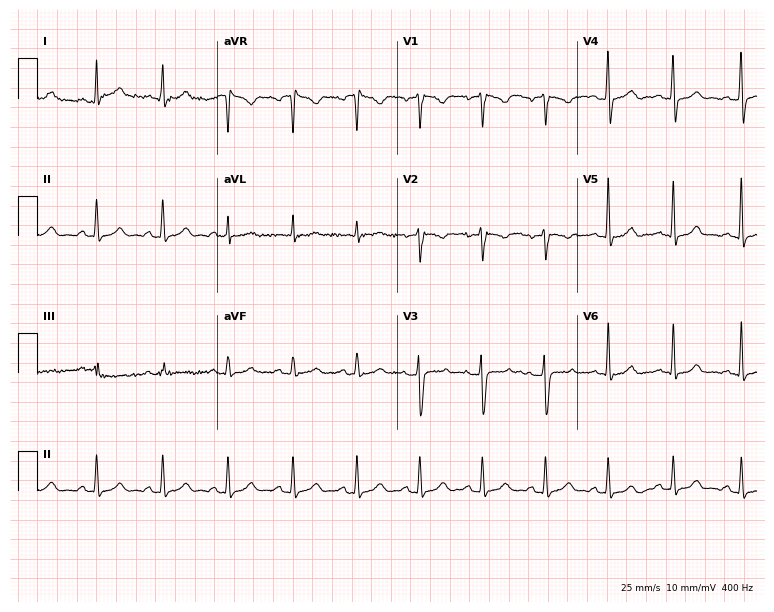
12-lead ECG from a woman, 35 years old. No first-degree AV block, right bundle branch block, left bundle branch block, sinus bradycardia, atrial fibrillation or sinus tachycardia recorded for this tracing. Only these six findings were labelled.